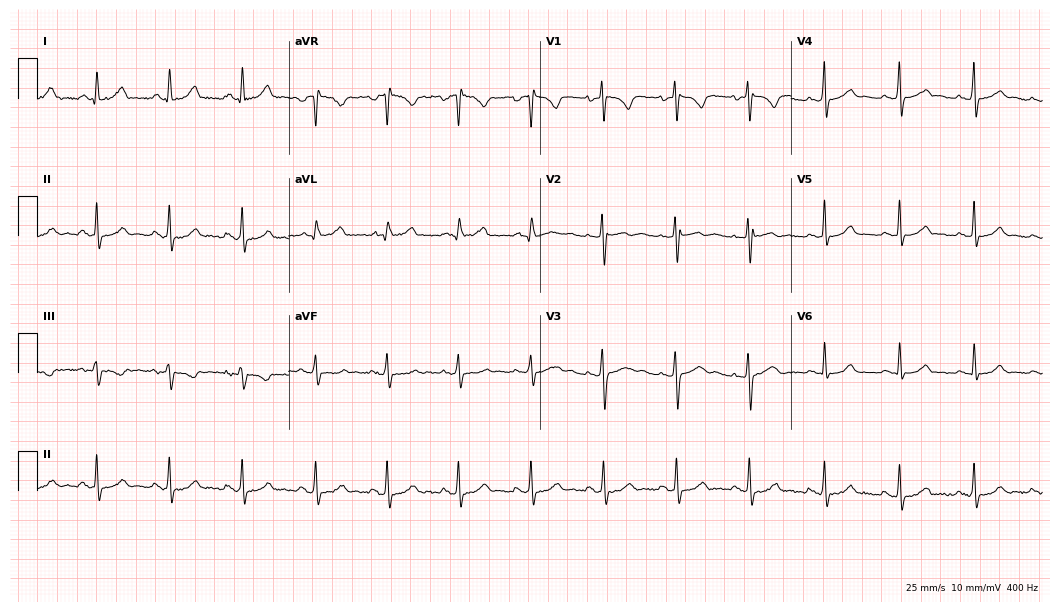
Resting 12-lead electrocardiogram (10.2-second recording at 400 Hz). Patient: a 37-year-old woman. None of these six findings is recorded: first-degree AV block, right bundle branch block, left bundle branch block, sinus bradycardia, atrial fibrillation, sinus tachycardia. Findings outside these six are not listed.